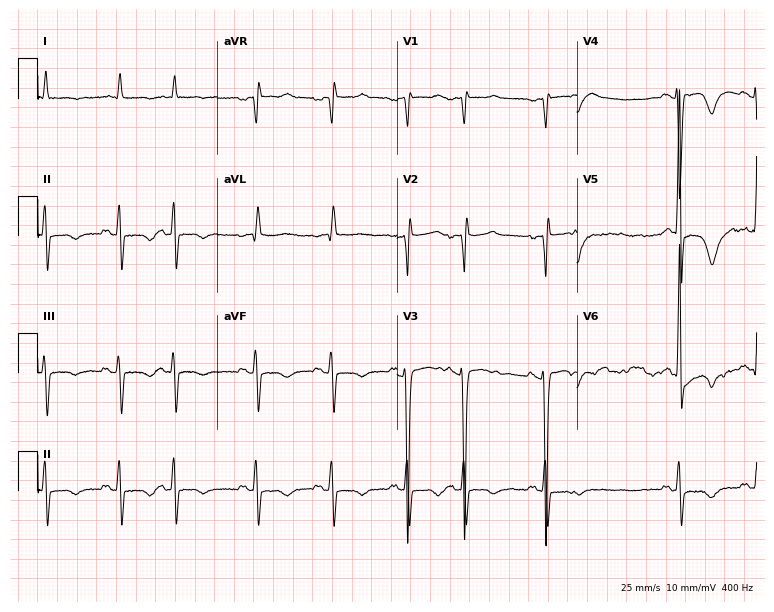
Electrocardiogram, an 85-year-old male. Of the six screened findings (first-degree AV block, right bundle branch block (RBBB), left bundle branch block (LBBB), sinus bradycardia, atrial fibrillation (AF), sinus tachycardia), none is recorded.